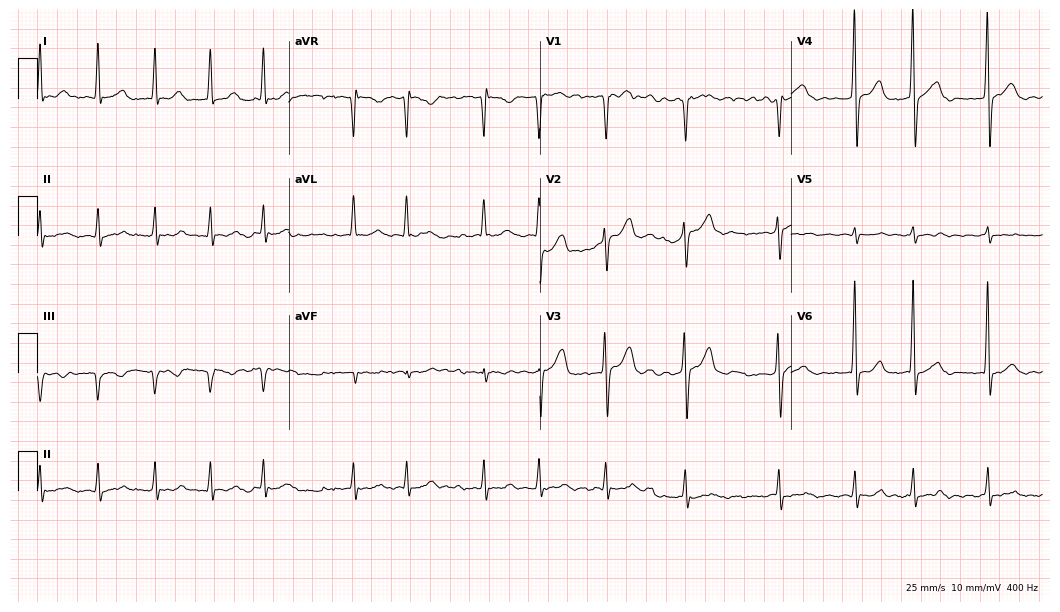
12-lead ECG from a 47-year-old man (10.2-second recording at 400 Hz). Shows atrial fibrillation (AF).